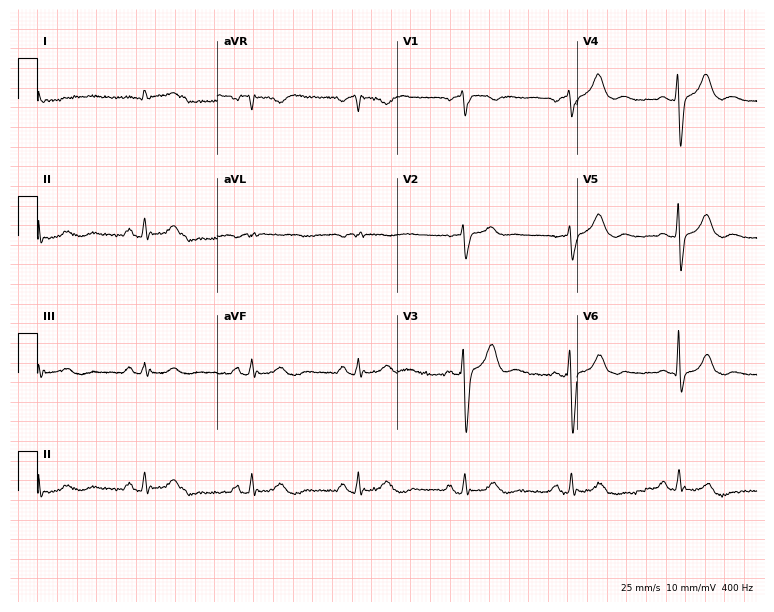
Resting 12-lead electrocardiogram. Patient: a 63-year-old male. Read as a normal ECG.